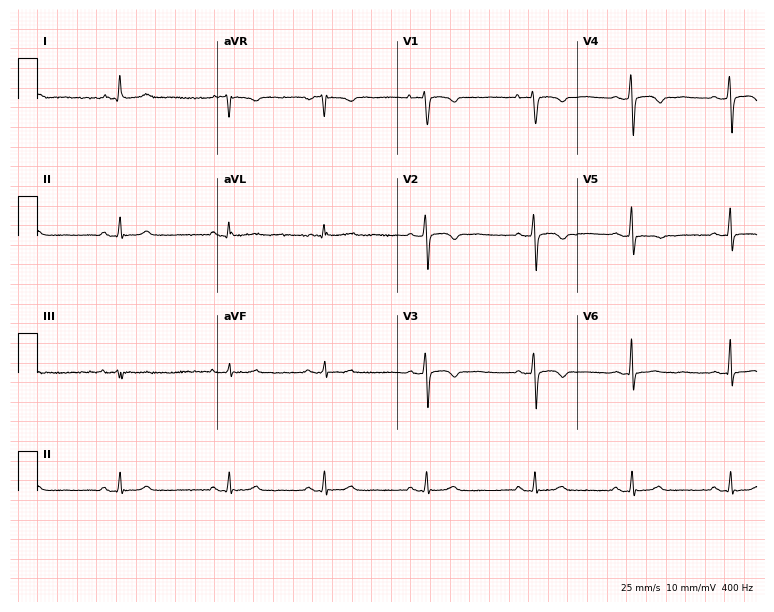
Resting 12-lead electrocardiogram (7.3-second recording at 400 Hz). Patient: a female, 46 years old. None of these six findings is recorded: first-degree AV block, right bundle branch block, left bundle branch block, sinus bradycardia, atrial fibrillation, sinus tachycardia.